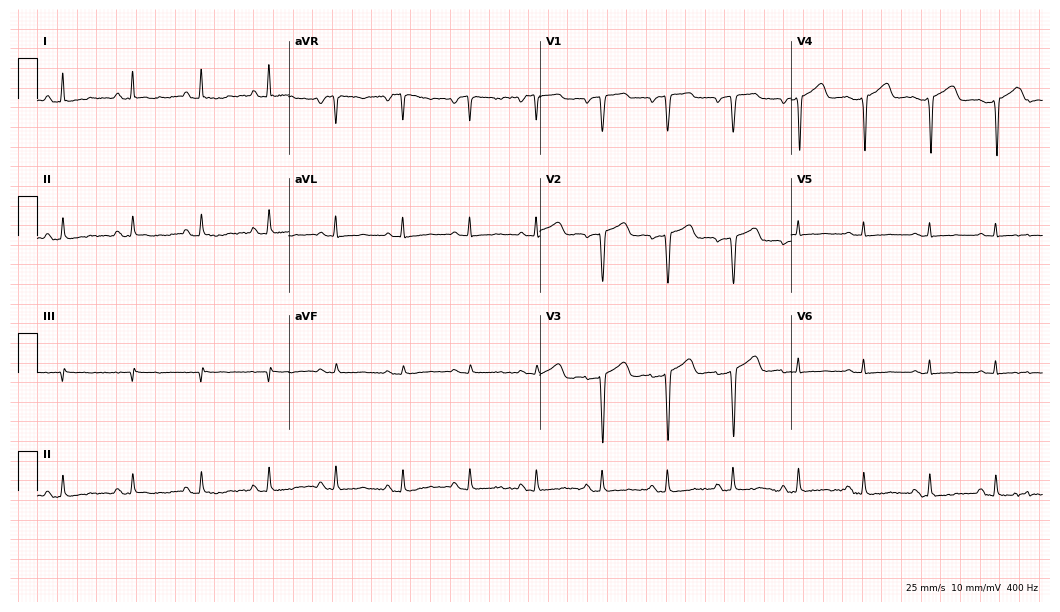
Electrocardiogram (10.2-second recording at 400 Hz), a woman, 69 years old. Of the six screened findings (first-degree AV block, right bundle branch block, left bundle branch block, sinus bradycardia, atrial fibrillation, sinus tachycardia), none is recorded.